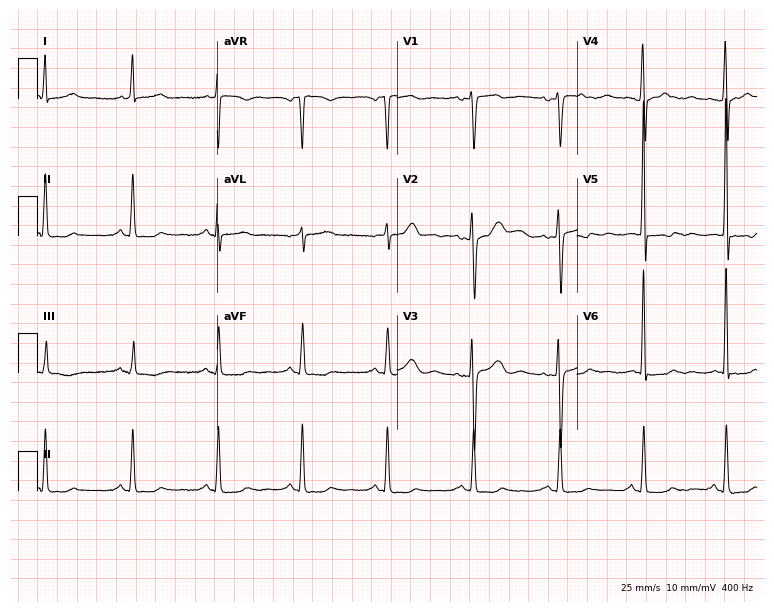
Resting 12-lead electrocardiogram. Patient: a female, 43 years old. None of these six findings is recorded: first-degree AV block, right bundle branch block, left bundle branch block, sinus bradycardia, atrial fibrillation, sinus tachycardia.